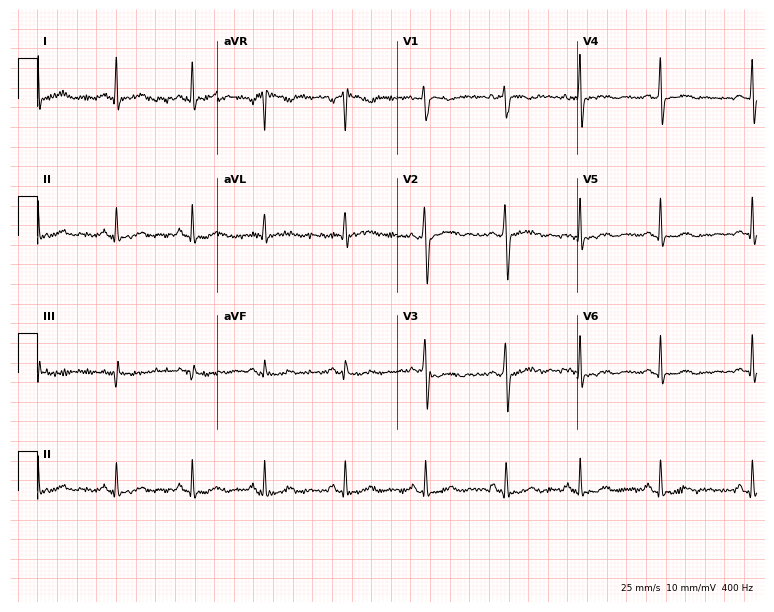
Electrocardiogram, a 23-year-old woman. Of the six screened findings (first-degree AV block, right bundle branch block, left bundle branch block, sinus bradycardia, atrial fibrillation, sinus tachycardia), none is recorded. Findings outside these six are not listed.